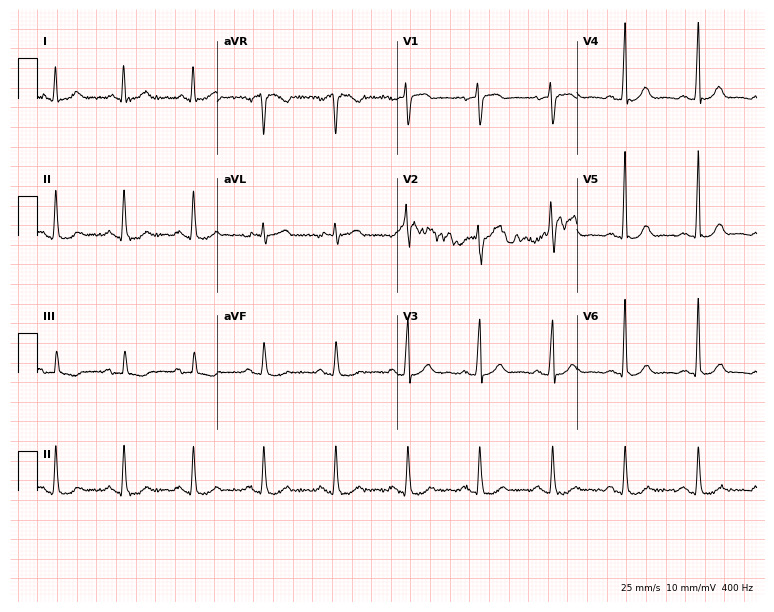
Standard 12-lead ECG recorded from a male patient, 82 years old (7.3-second recording at 400 Hz). Read as a normal ECG.